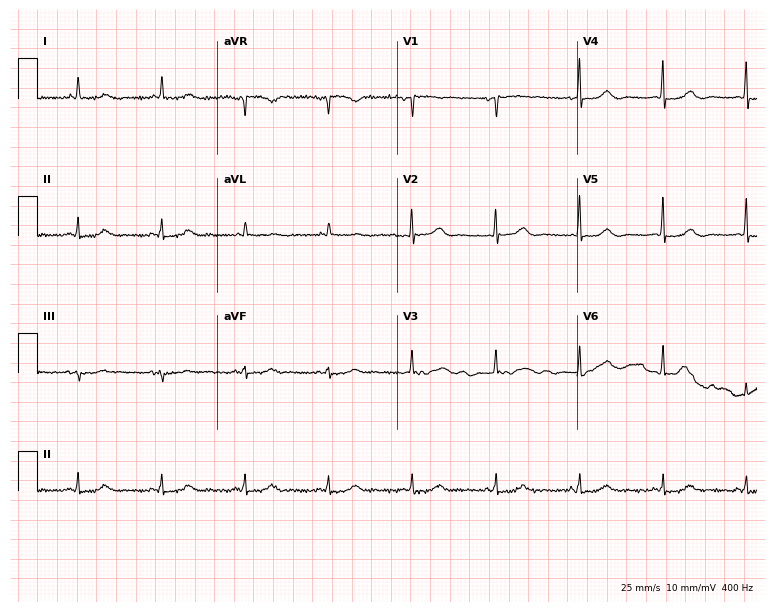
Resting 12-lead electrocardiogram (7.3-second recording at 400 Hz). Patient: a female, 80 years old. None of these six findings is recorded: first-degree AV block, right bundle branch block, left bundle branch block, sinus bradycardia, atrial fibrillation, sinus tachycardia.